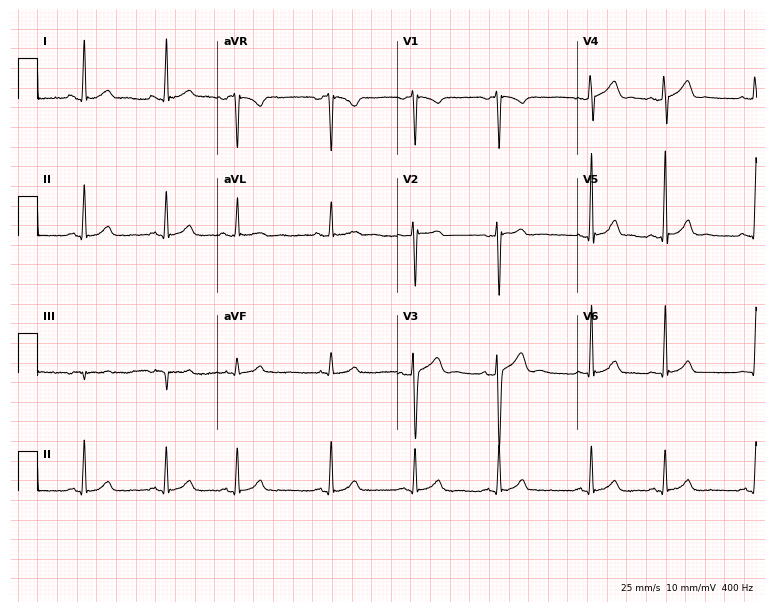
12-lead ECG from a female, 19 years old. Labelled as a normal ECG.